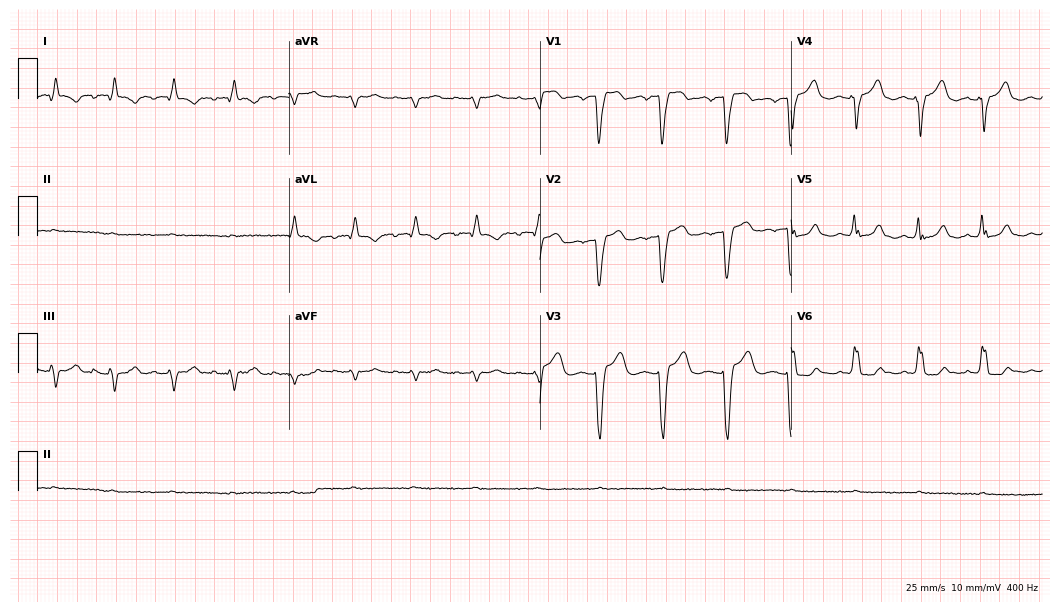
12-lead ECG from a woman, 81 years old (10.2-second recording at 400 Hz). No first-degree AV block, right bundle branch block (RBBB), left bundle branch block (LBBB), sinus bradycardia, atrial fibrillation (AF) or sinus tachycardia recorded for this tracing.